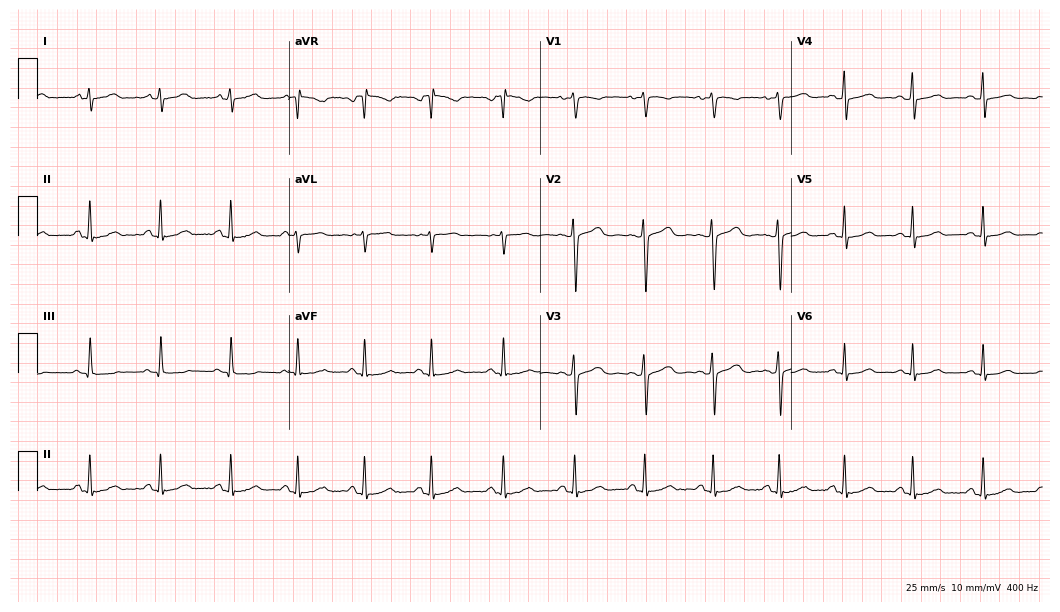
12-lead ECG (10.2-second recording at 400 Hz) from a 19-year-old female patient. Labelled as a normal ECG.